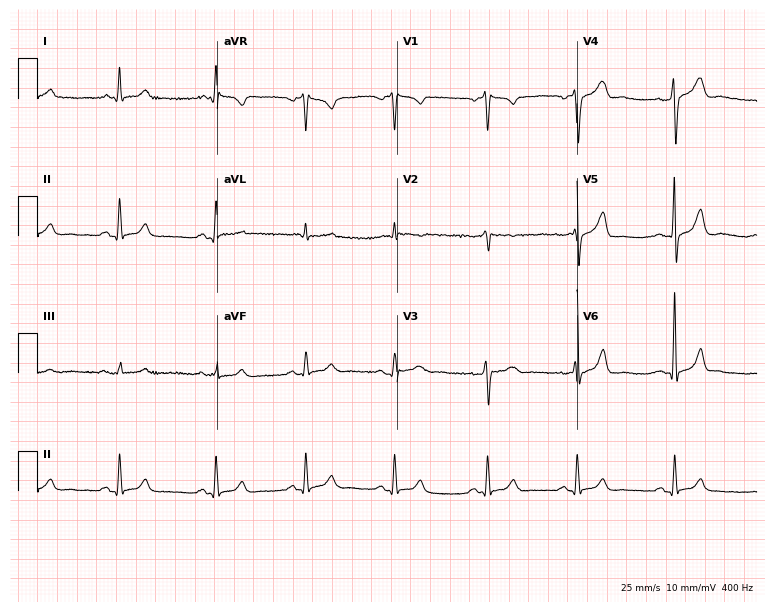
Standard 12-lead ECG recorded from a 33-year-old male (7.3-second recording at 400 Hz). Read as a normal ECG.